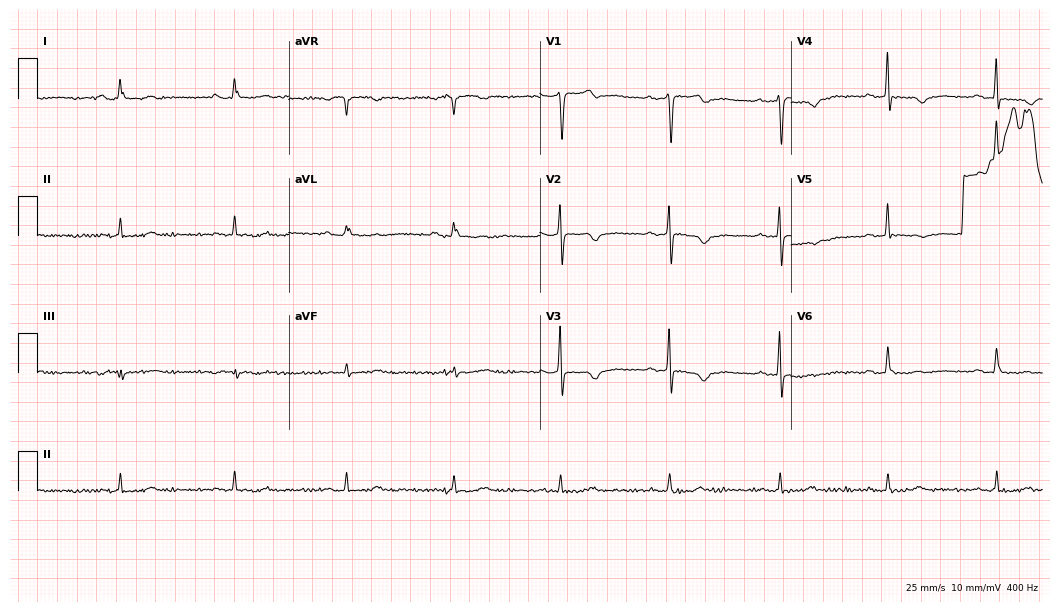
Standard 12-lead ECG recorded from a woman, 76 years old. None of these six findings is recorded: first-degree AV block, right bundle branch block (RBBB), left bundle branch block (LBBB), sinus bradycardia, atrial fibrillation (AF), sinus tachycardia.